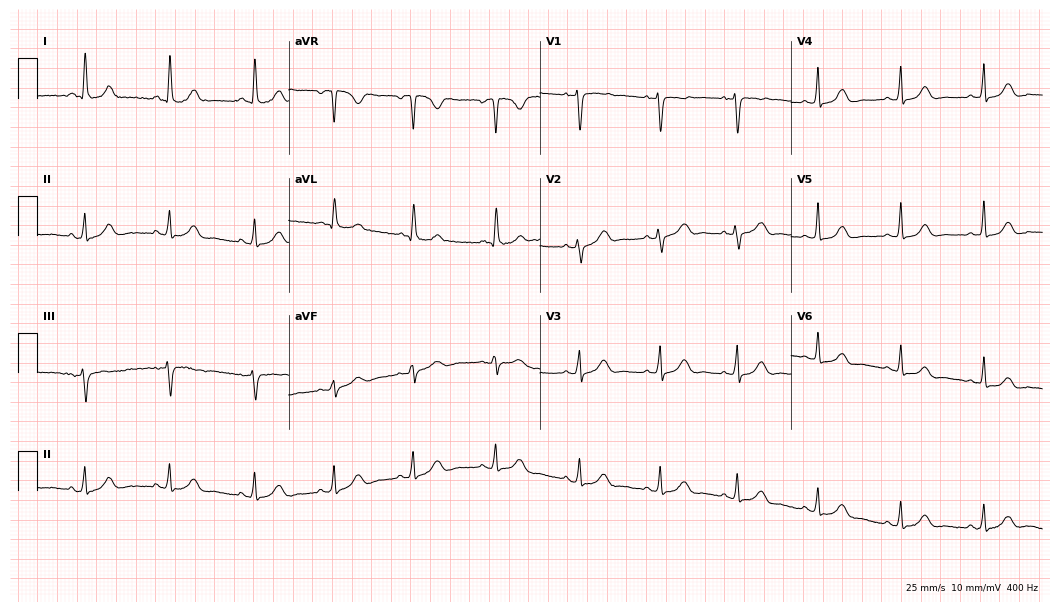
Electrocardiogram, a female patient, 48 years old. Of the six screened findings (first-degree AV block, right bundle branch block, left bundle branch block, sinus bradycardia, atrial fibrillation, sinus tachycardia), none is recorded. Only these six findings were labelled.